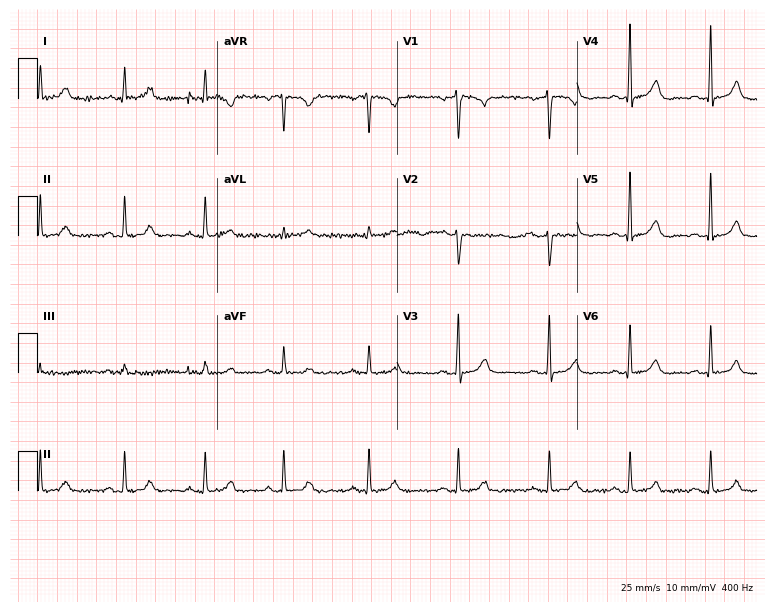
Electrocardiogram, a female, 40 years old. Overall reading on record: normal ECG.